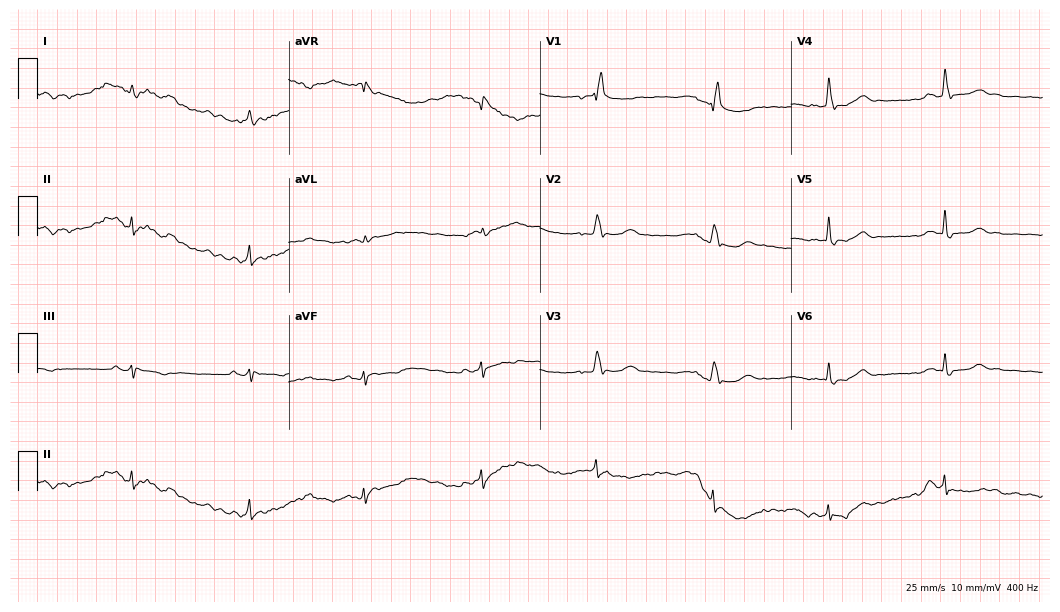
Resting 12-lead electrocardiogram. Patient: a 67-year-old man. The tracing shows right bundle branch block.